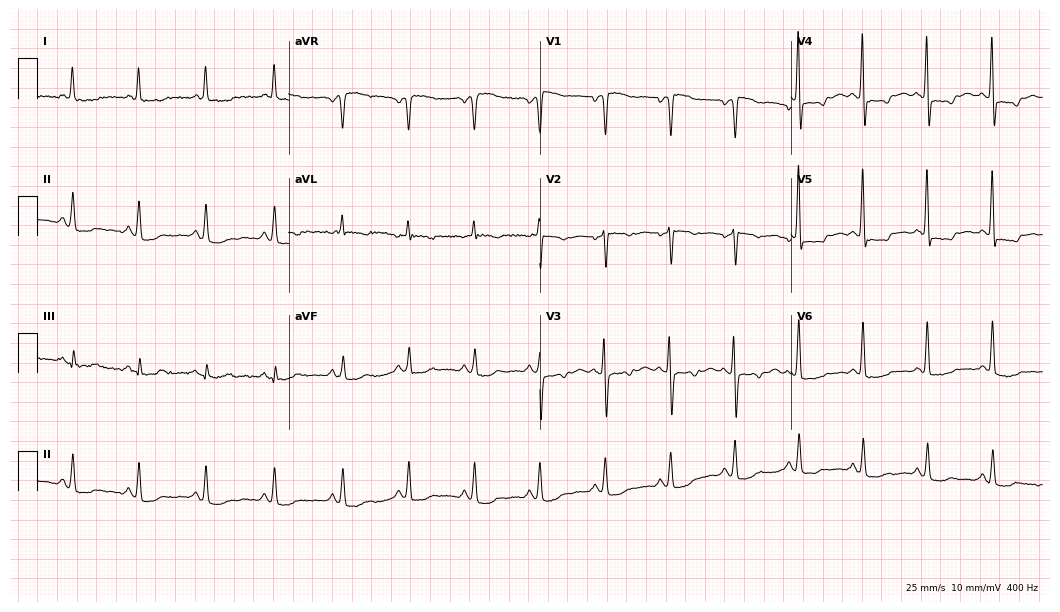
12-lead ECG from a woman, 77 years old (10.2-second recording at 400 Hz). No first-degree AV block, right bundle branch block (RBBB), left bundle branch block (LBBB), sinus bradycardia, atrial fibrillation (AF) or sinus tachycardia recorded for this tracing.